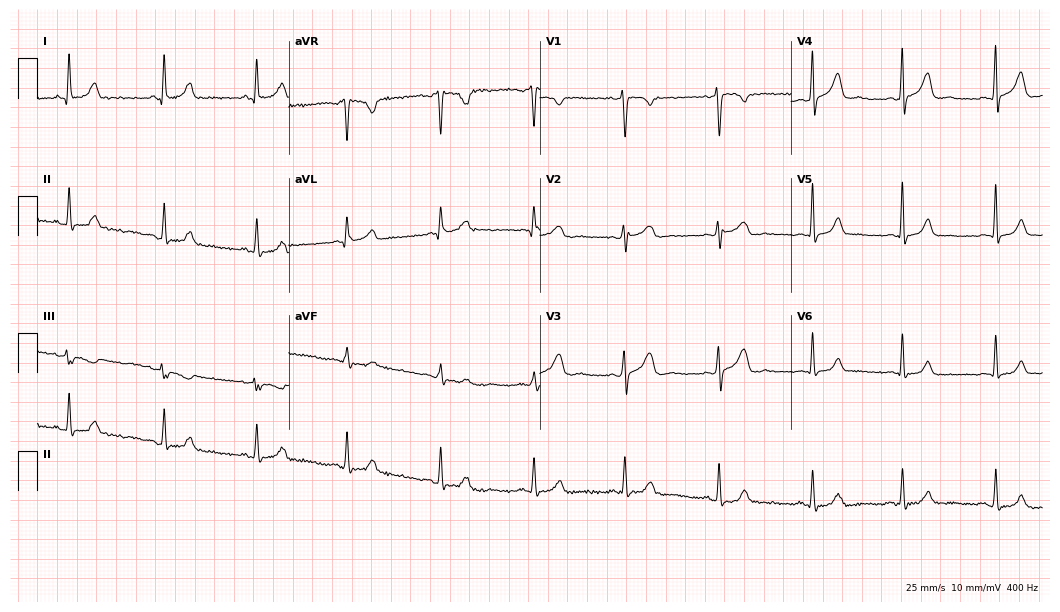
Resting 12-lead electrocardiogram (10.2-second recording at 400 Hz). Patient: a 34-year-old female. Read as a normal ECG.